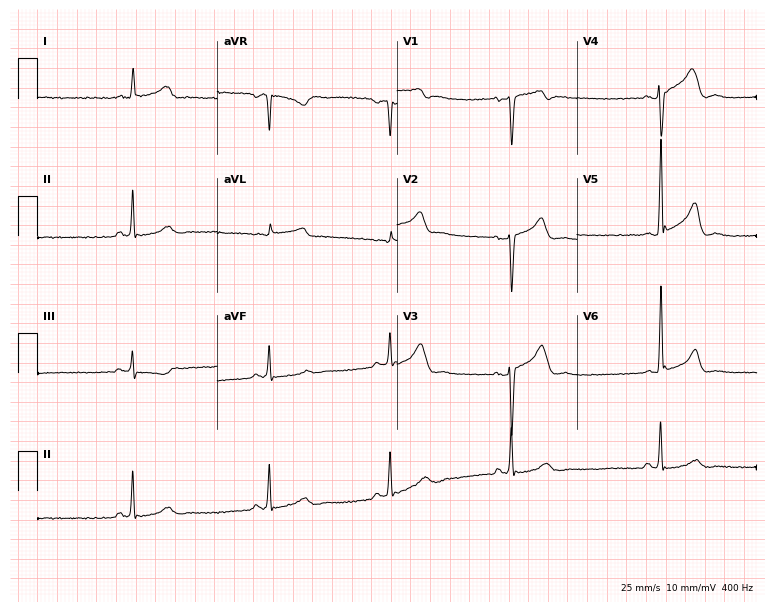
12-lead ECG from a man, 58 years old (7.3-second recording at 400 Hz). Shows sinus bradycardia (a sinus rate of 50 beats per minute or less).